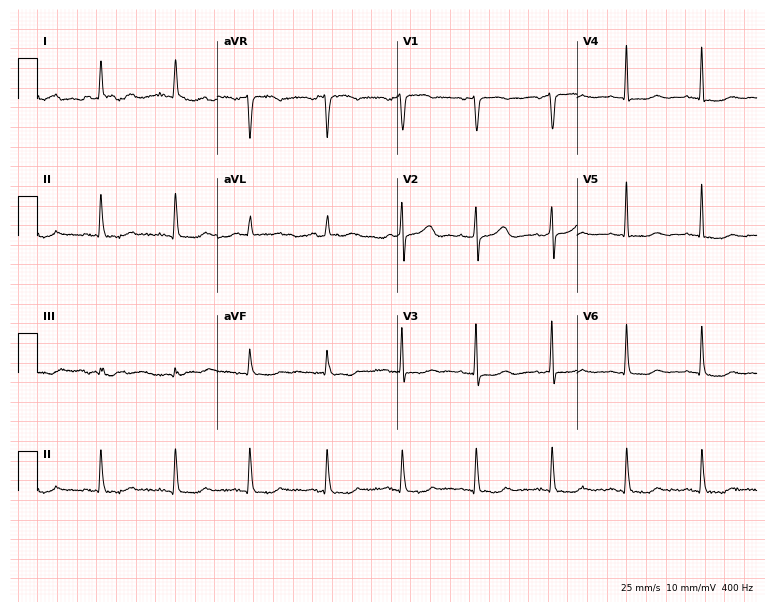
Resting 12-lead electrocardiogram. Patient: a male, 36 years old. None of these six findings is recorded: first-degree AV block, right bundle branch block, left bundle branch block, sinus bradycardia, atrial fibrillation, sinus tachycardia. Only these six findings were labelled.